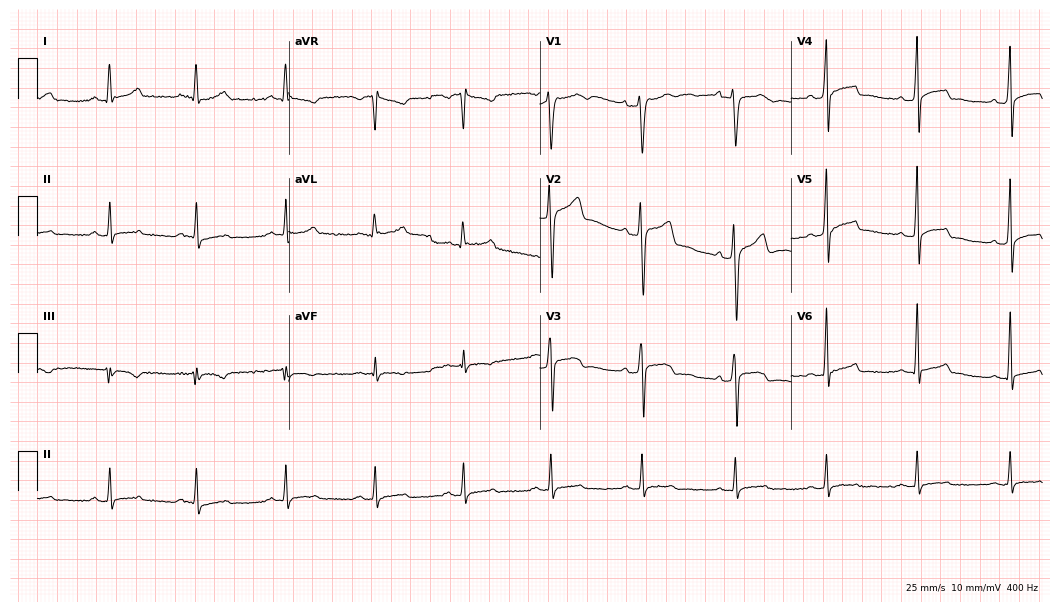
ECG (10.2-second recording at 400 Hz) — a 35-year-old male patient. Labelled as a normal ECG.